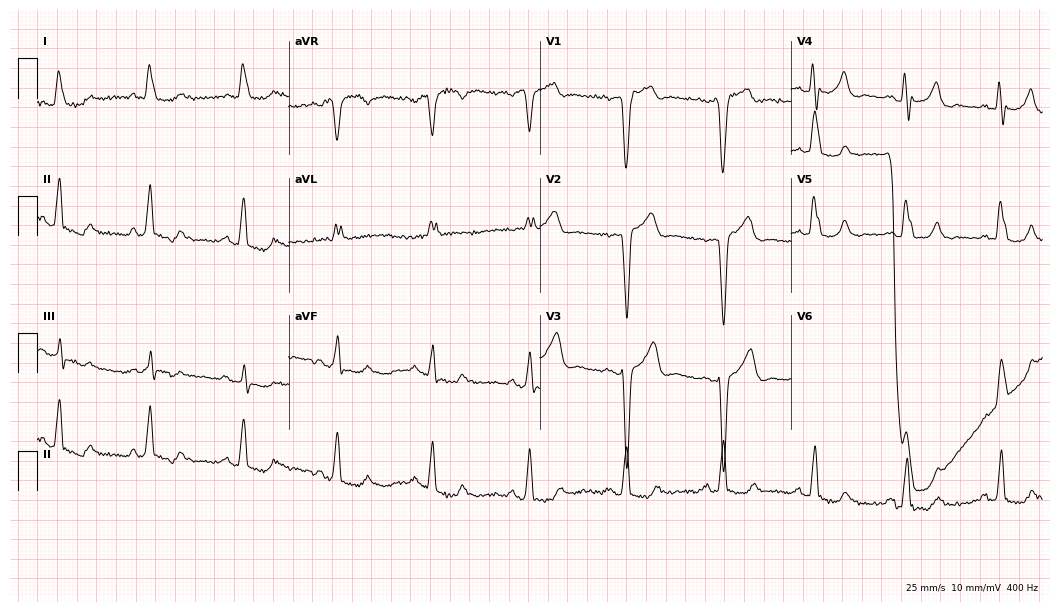
ECG (10.2-second recording at 400 Hz) — an 82-year-old woman. Screened for six findings — first-degree AV block, right bundle branch block (RBBB), left bundle branch block (LBBB), sinus bradycardia, atrial fibrillation (AF), sinus tachycardia — none is recorded. Only these six findings were labelled.